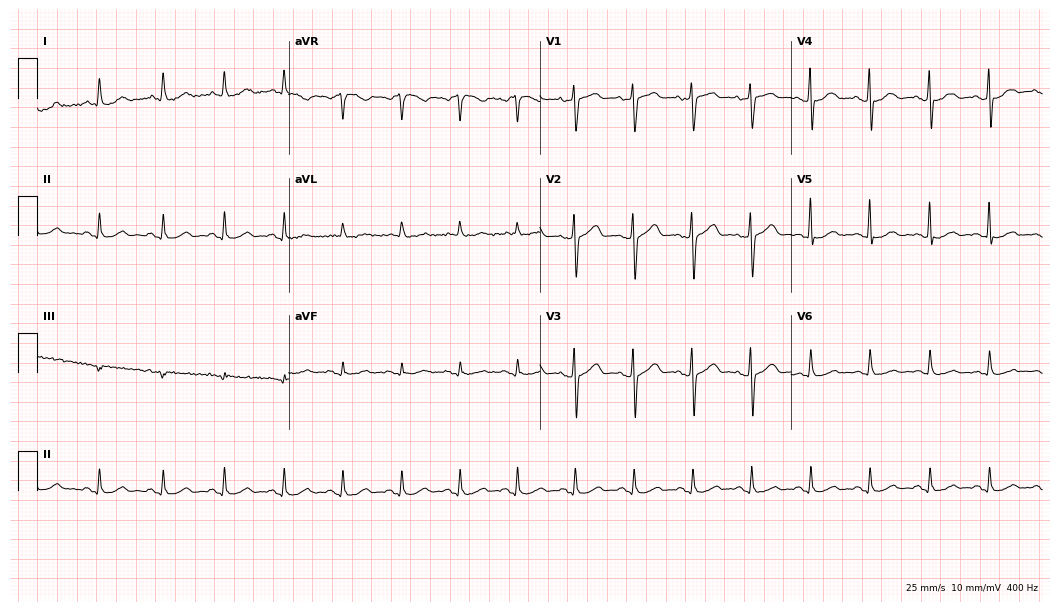
Electrocardiogram, a woman, 60 years old. Of the six screened findings (first-degree AV block, right bundle branch block, left bundle branch block, sinus bradycardia, atrial fibrillation, sinus tachycardia), none is recorded. Other findings, if any, are not listed.